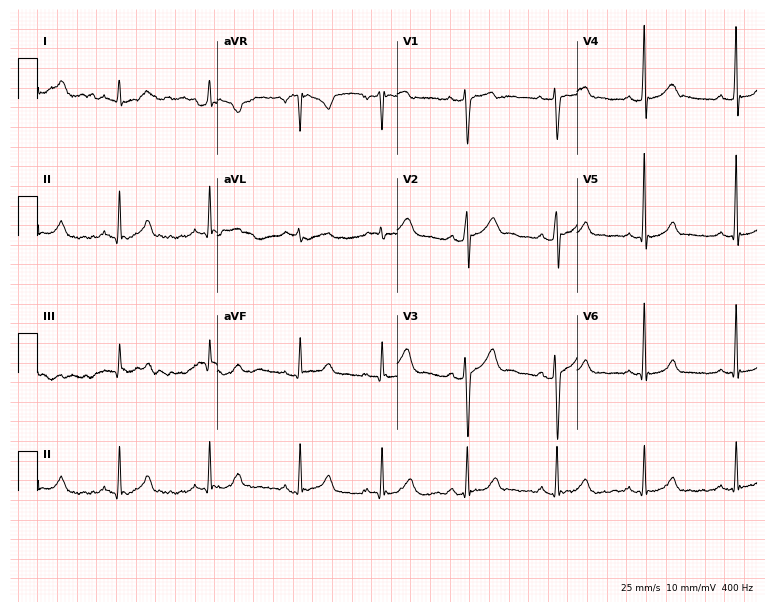
12-lead ECG from a 32-year-old man (7.3-second recording at 400 Hz). Recorded interpretation: within normal limits.